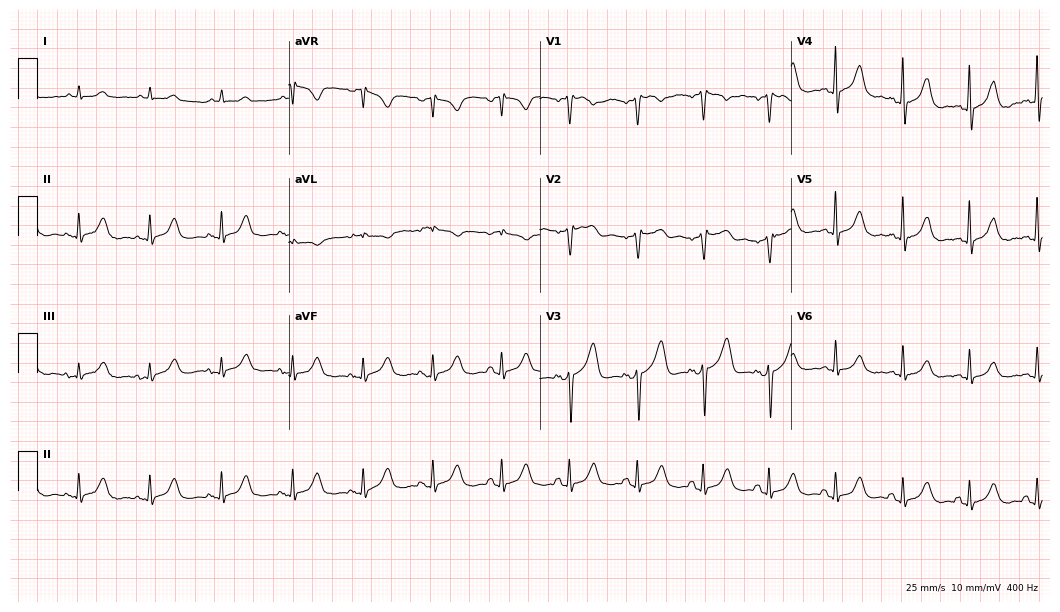
12-lead ECG from a man, 58 years old. Labelled as a normal ECG.